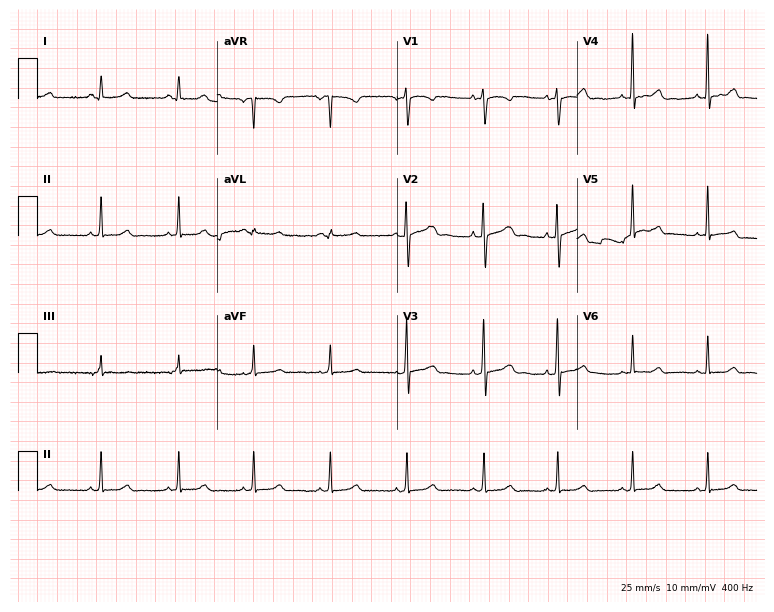
Standard 12-lead ECG recorded from a 28-year-old female patient (7.3-second recording at 400 Hz). Read as a normal ECG.